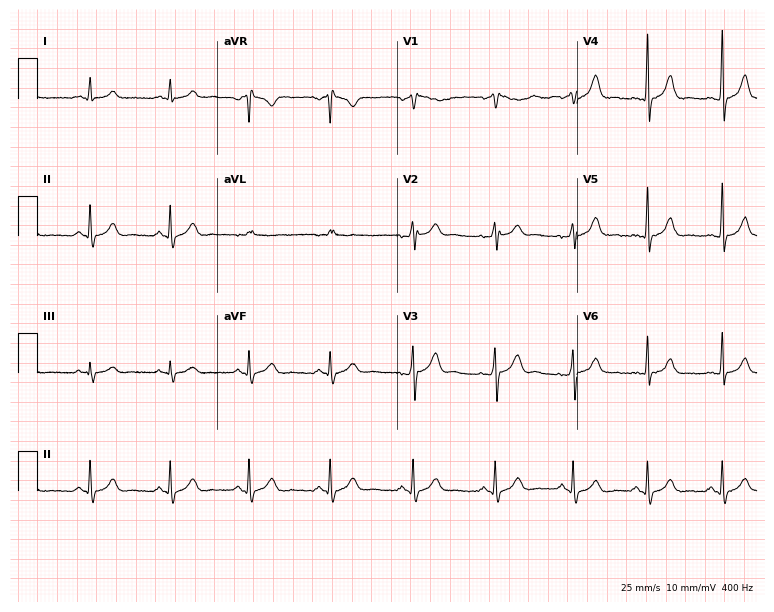
ECG (7.3-second recording at 400 Hz) — a 27-year-old male. Labelled as a normal ECG.